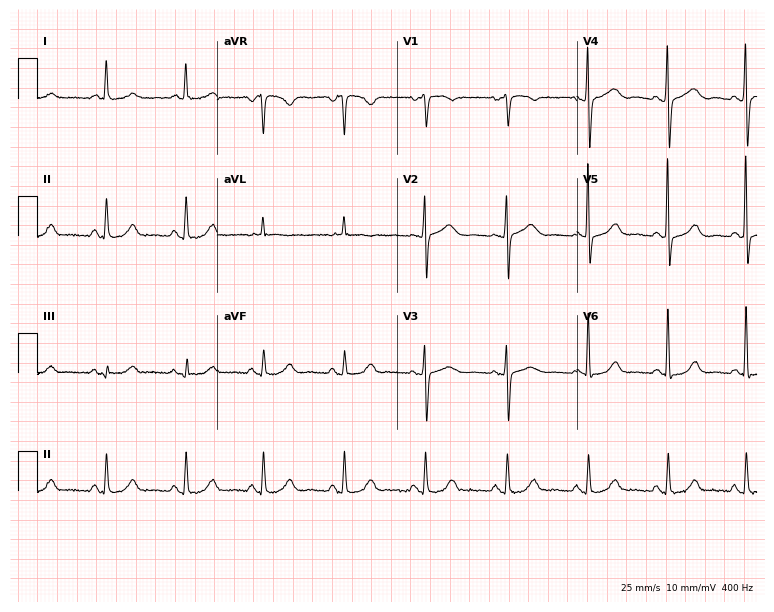
12-lead ECG (7.3-second recording at 400 Hz) from a 61-year-old woman. Screened for six findings — first-degree AV block, right bundle branch block (RBBB), left bundle branch block (LBBB), sinus bradycardia, atrial fibrillation (AF), sinus tachycardia — none is recorded.